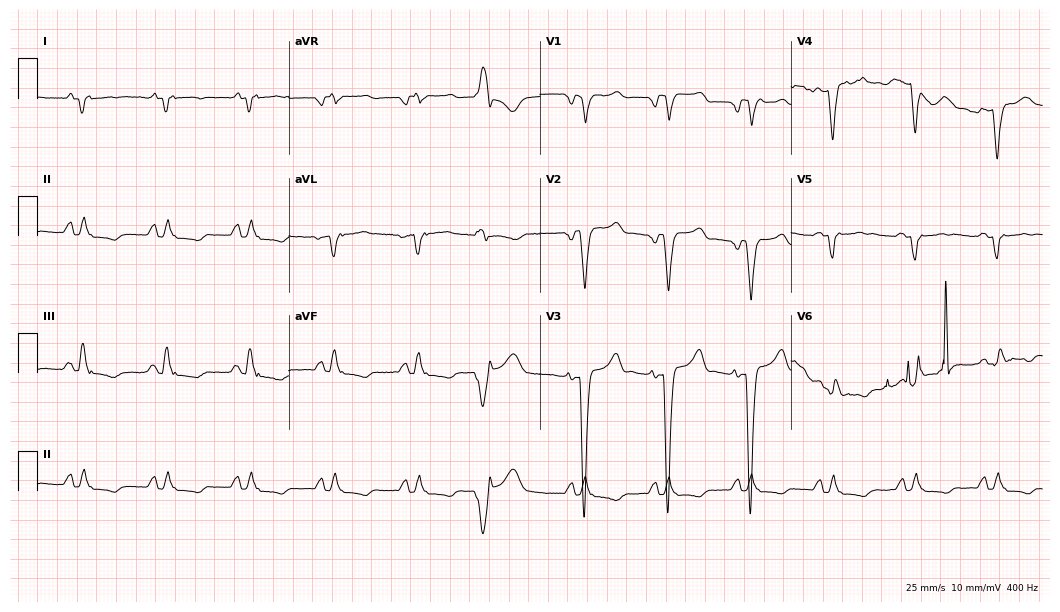
ECG (10.2-second recording at 400 Hz) — a 60-year-old man. Screened for six findings — first-degree AV block, right bundle branch block, left bundle branch block, sinus bradycardia, atrial fibrillation, sinus tachycardia — none is recorded. Only these six findings were labelled.